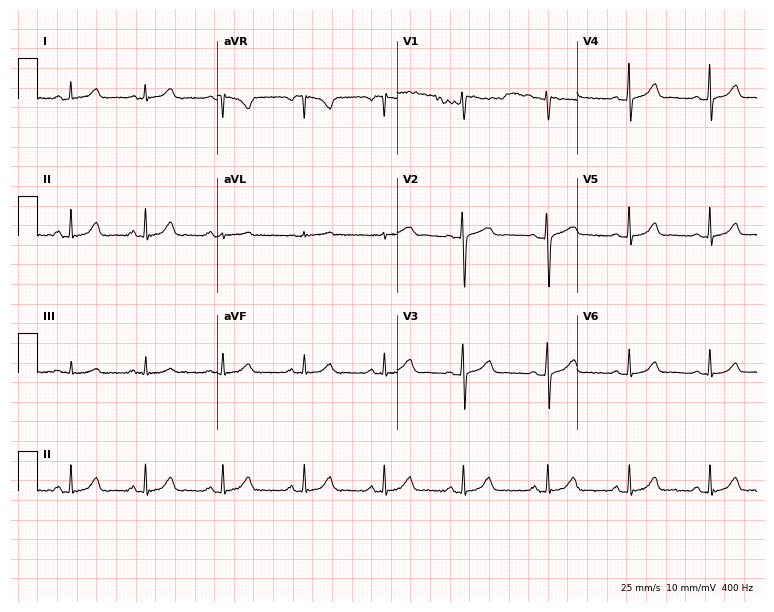
12-lead ECG from a female, 34 years old. Labelled as a normal ECG.